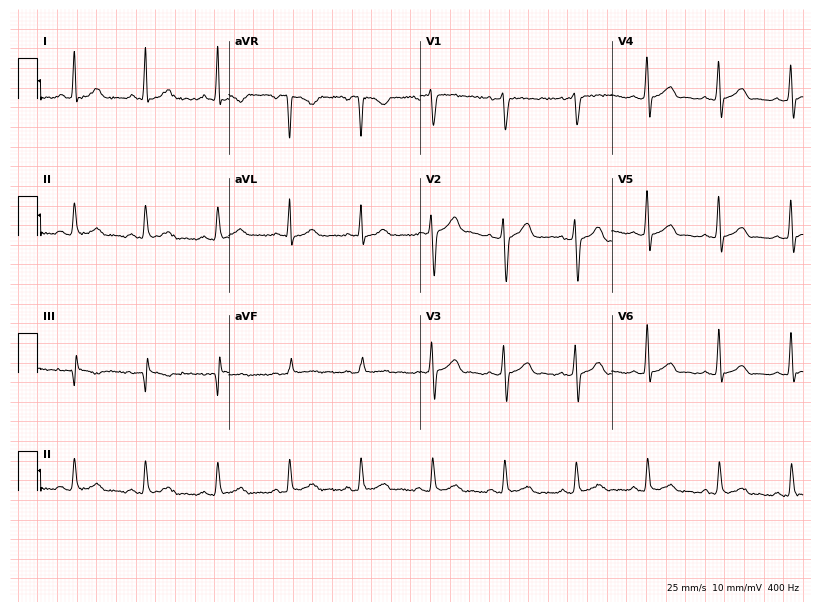
ECG — a 27-year-old male patient. Labelled as a normal ECG.